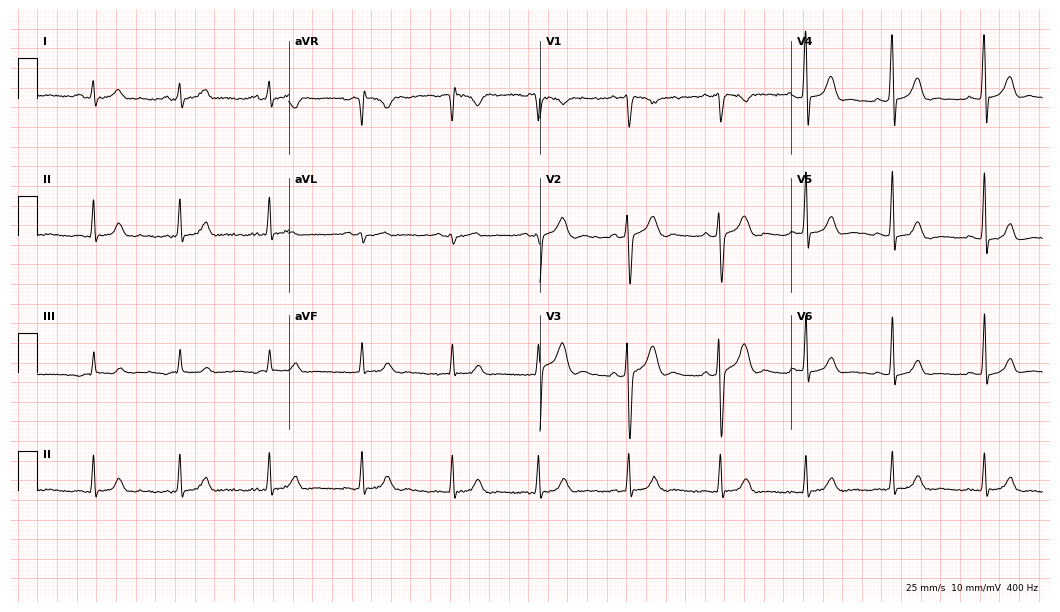
ECG (10.2-second recording at 400 Hz) — a 21-year-old man. Labelled as a normal ECG.